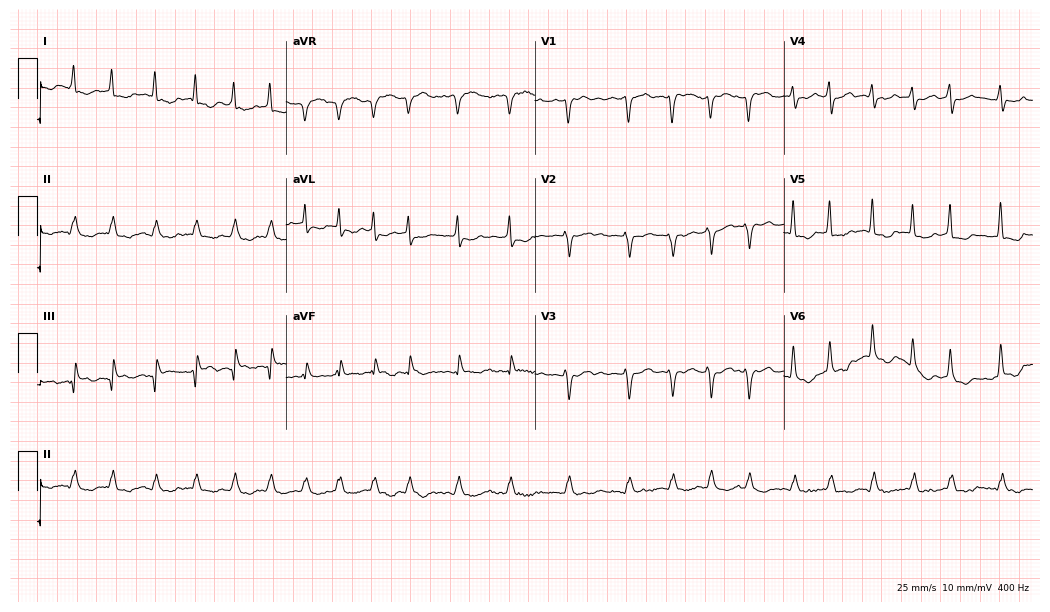
Electrocardiogram, a 76-year-old female. Interpretation includes atrial fibrillation.